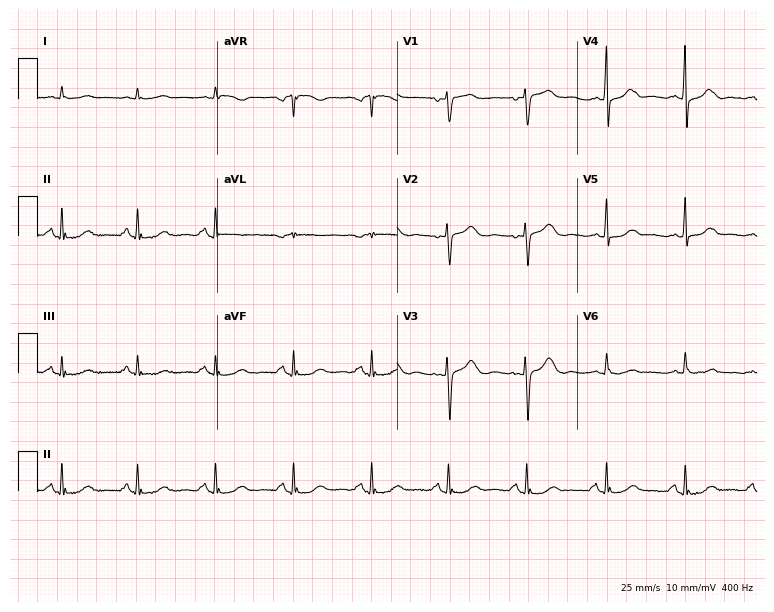
Resting 12-lead electrocardiogram. Patient: a female, 69 years old. Read as a normal ECG.